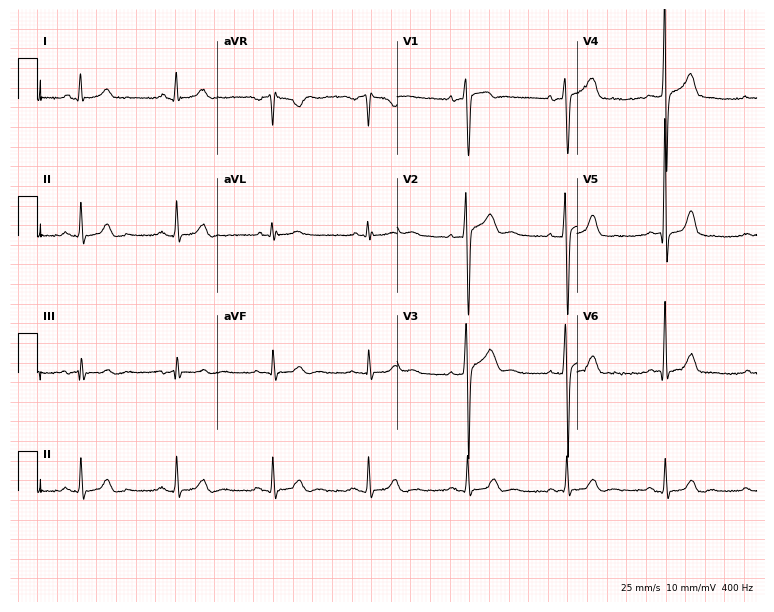
12-lead ECG (7.3-second recording at 400 Hz) from a 35-year-old male patient. Labelled as a normal ECG.